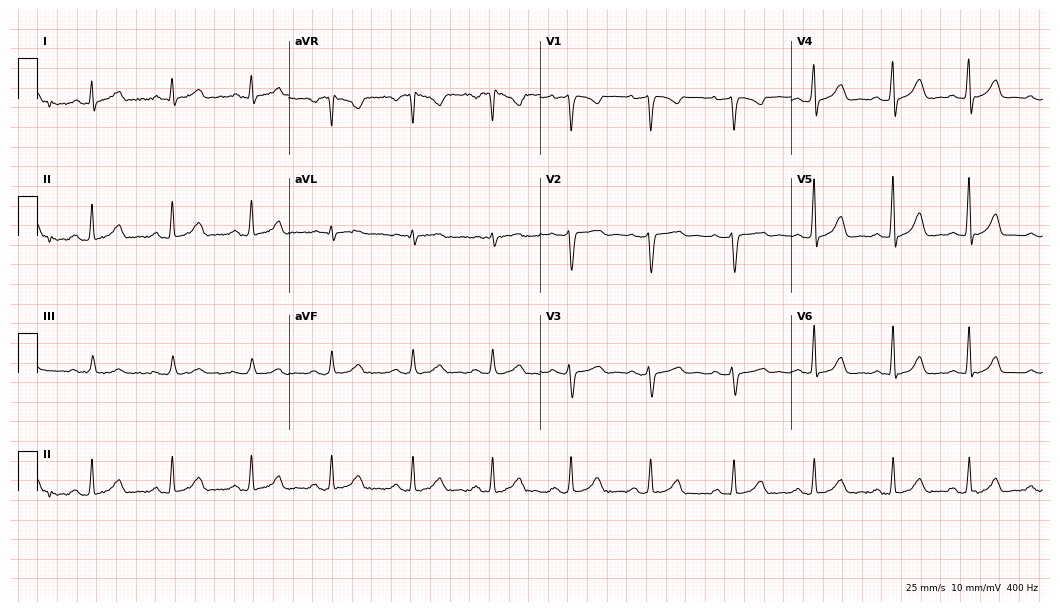
Resting 12-lead electrocardiogram (10.2-second recording at 400 Hz). Patient: a female, 28 years old. Read as a normal ECG.